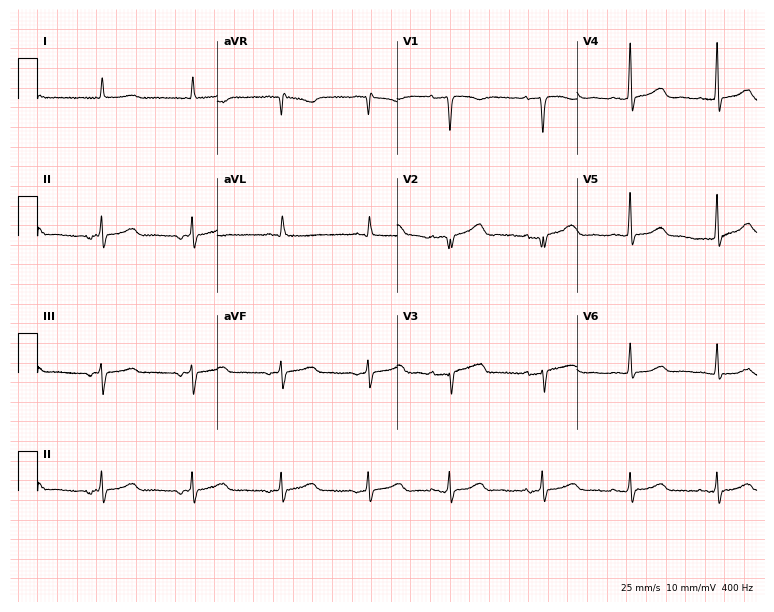
12-lead ECG from a female patient, 85 years old. No first-degree AV block, right bundle branch block, left bundle branch block, sinus bradycardia, atrial fibrillation or sinus tachycardia recorded for this tracing.